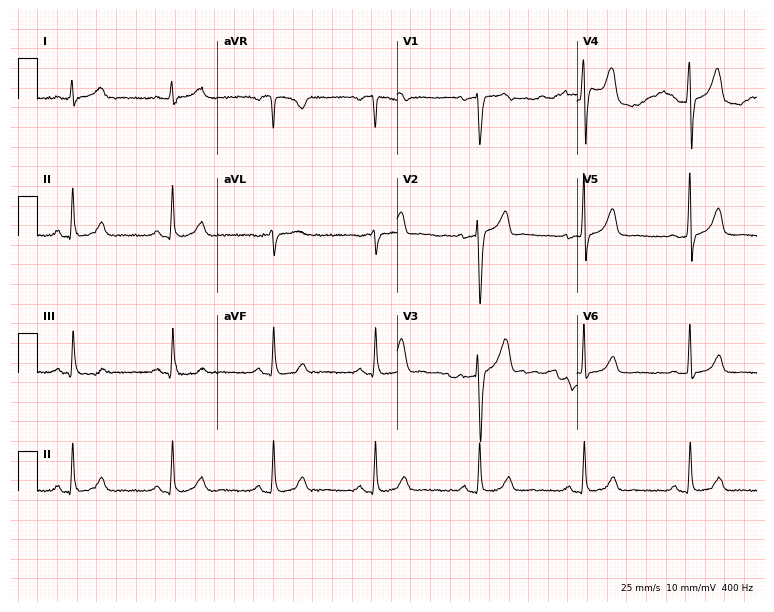
Resting 12-lead electrocardiogram. Patient: a male, 59 years old. None of these six findings is recorded: first-degree AV block, right bundle branch block, left bundle branch block, sinus bradycardia, atrial fibrillation, sinus tachycardia. Other findings, if any, are not listed.